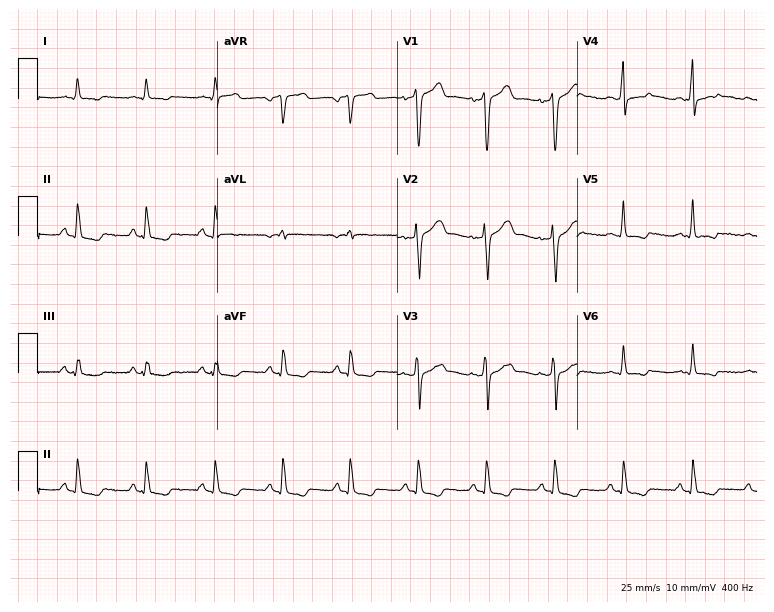
12-lead ECG from a 58-year-old man. Screened for six findings — first-degree AV block, right bundle branch block, left bundle branch block, sinus bradycardia, atrial fibrillation, sinus tachycardia — none is recorded.